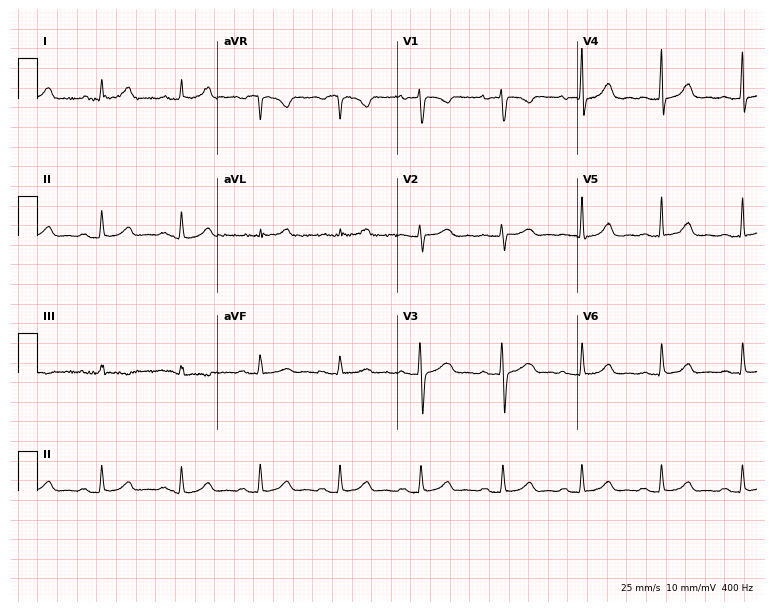
12-lead ECG (7.3-second recording at 400 Hz) from a woman, 34 years old. Labelled as a normal ECG.